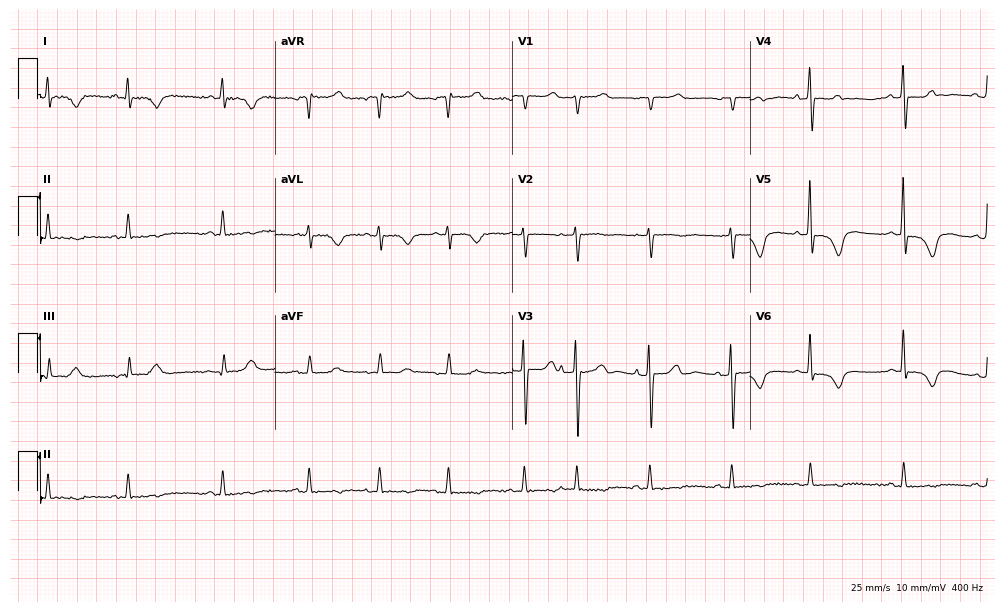
Resting 12-lead electrocardiogram (9.7-second recording at 400 Hz). Patient: a woman, 85 years old. Read as a normal ECG.